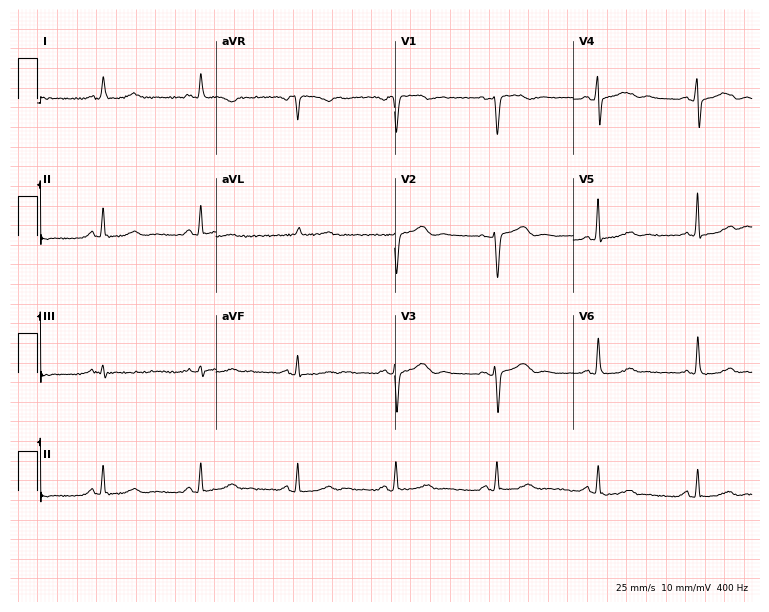
Resting 12-lead electrocardiogram. Patient: a 57-year-old female. None of these six findings is recorded: first-degree AV block, right bundle branch block, left bundle branch block, sinus bradycardia, atrial fibrillation, sinus tachycardia. Other findings, if any, are not listed.